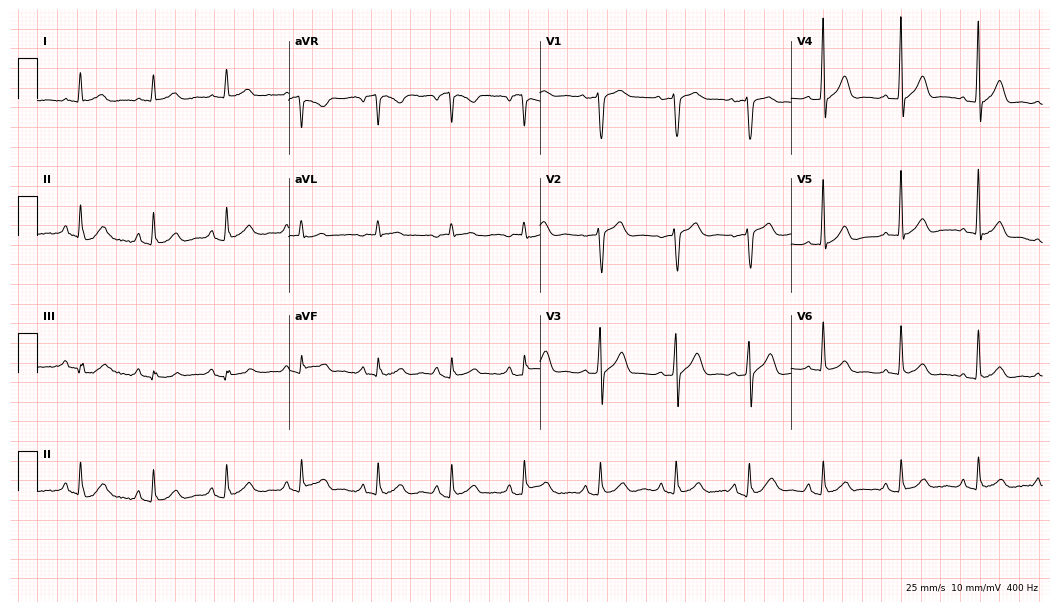
12-lead ECG (10.2-second recording at 400 Hz) from a male, 53 years old. Labelled as a normal ECG.